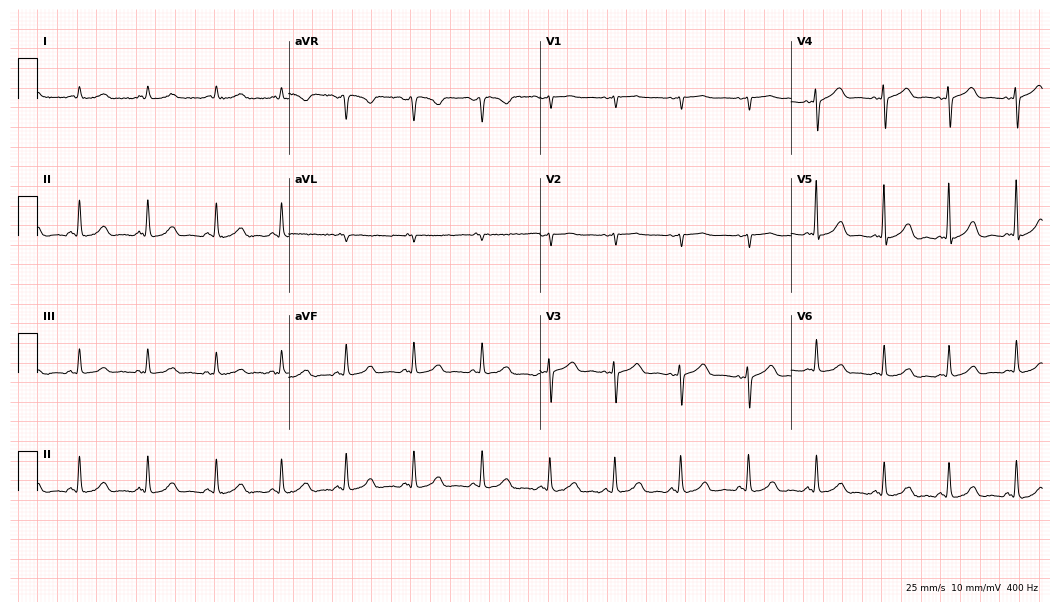
Standard 12-lead ECG recorded from a female, 66 years old. None of these six findings is recorded: first-degree AV block, right bundle branch block, left bundle branch block, sinus bradycardia, atrial fibrillation, sinus tachycardia.